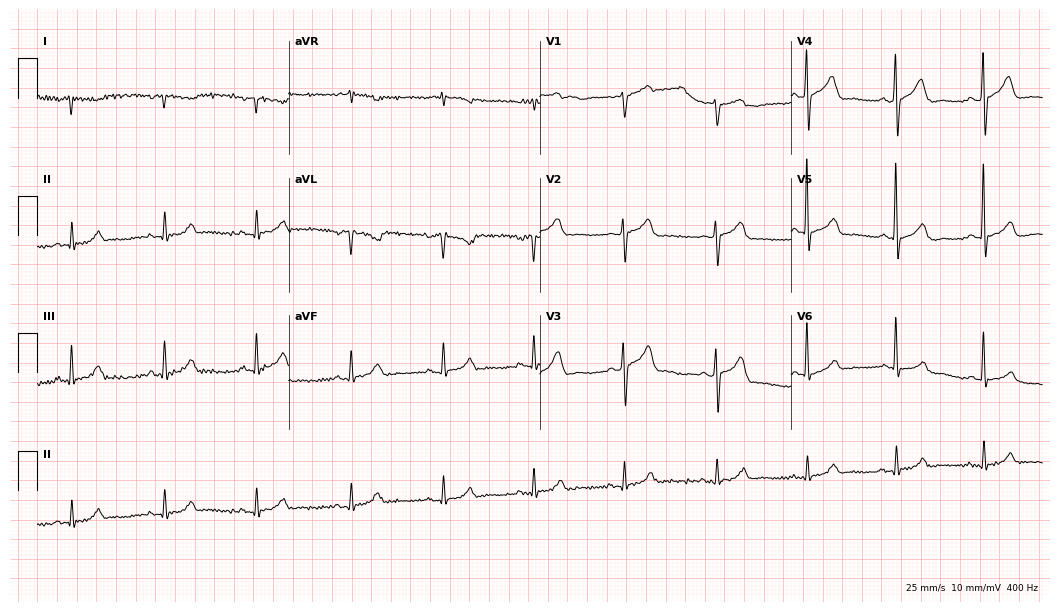
Electrocardiogram (10.2-second recording at 400 Hz), a 63-year-old man. Overall reading on record: normal ECG.